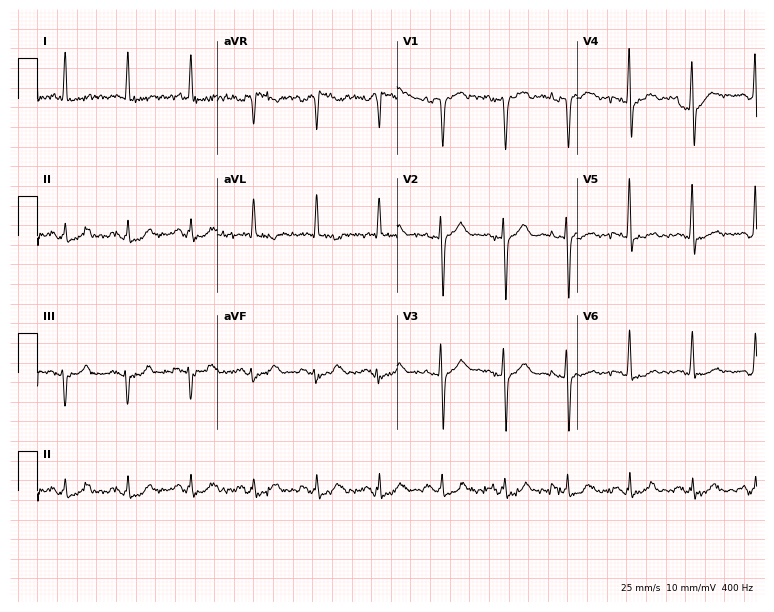
Resting 12-lead electrocardiogram. Patient: a male, 59 years old. None of these six findings is recorded: first-degree AV block, right bundle branch block, left bundle branch block, sinus bradycardia, atrial fibrillation, sinus tachycardia.